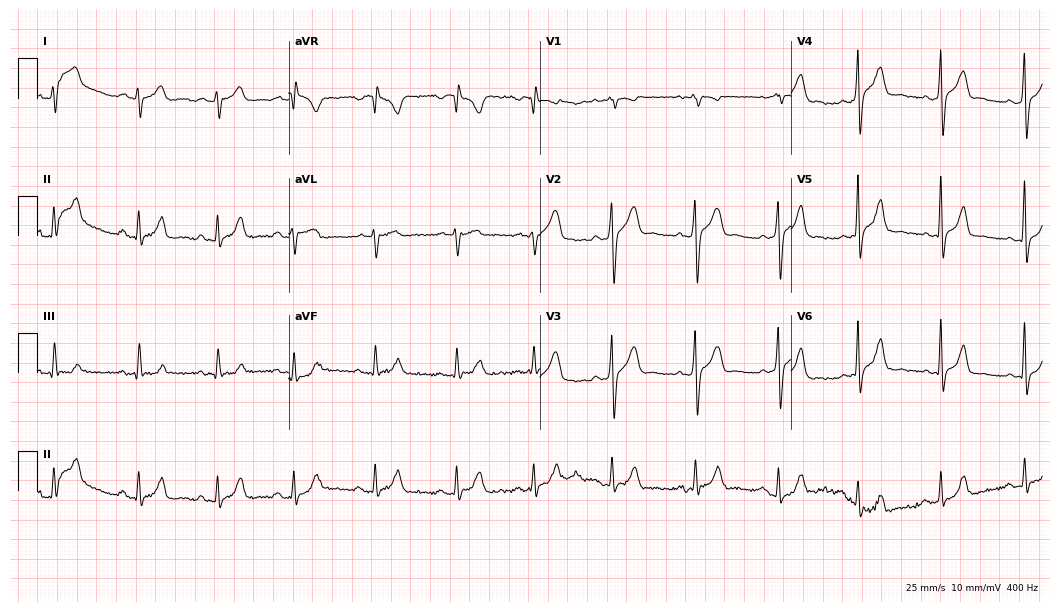
ECG — a male patient, 25 years old. Labelled as a normal ECG.